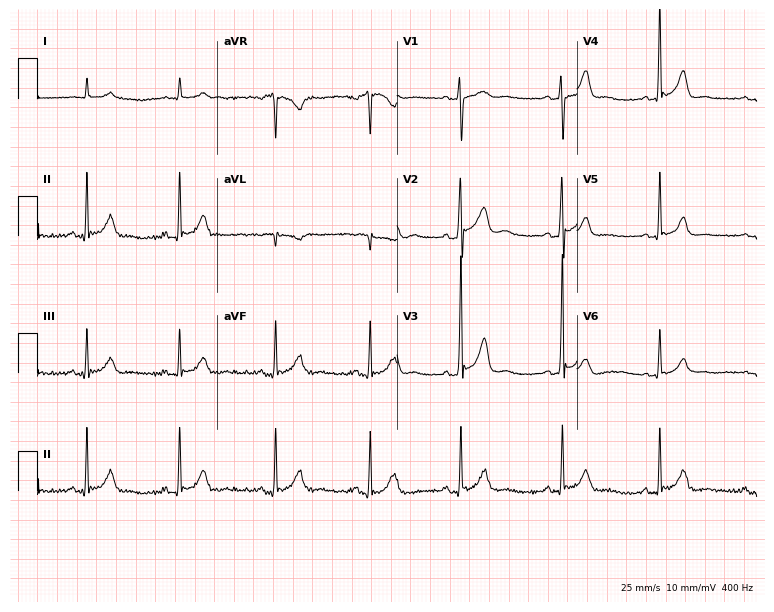
ECG — a man, 29 years old. Labelled as a normal ECG.